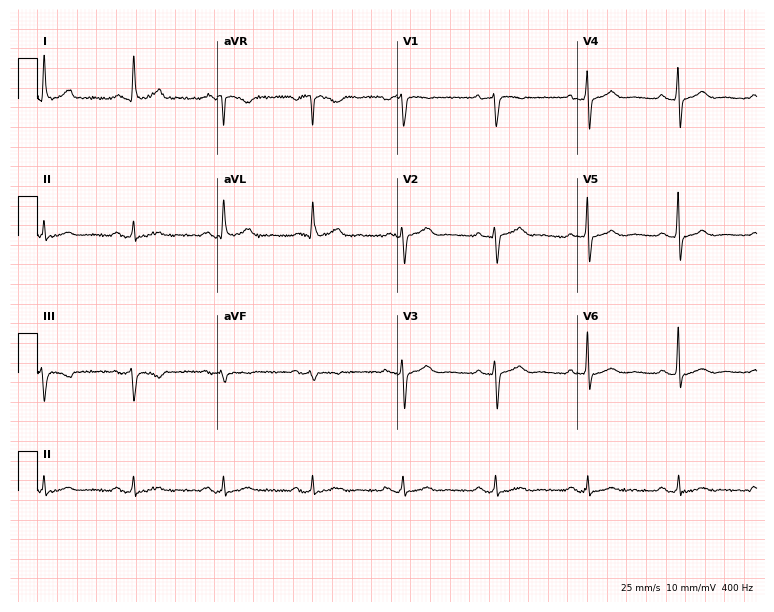
Electrocardiogram (7.3-second recording at 400 Hz), a 70-year-old woman. Of the six screened findings (first-degree AV block, right bundle branch block, left bundle branch block, sinus bradycardia, atrial fibrillation, sinus tachycardia), none is recorded. Only these six findings were labelled.